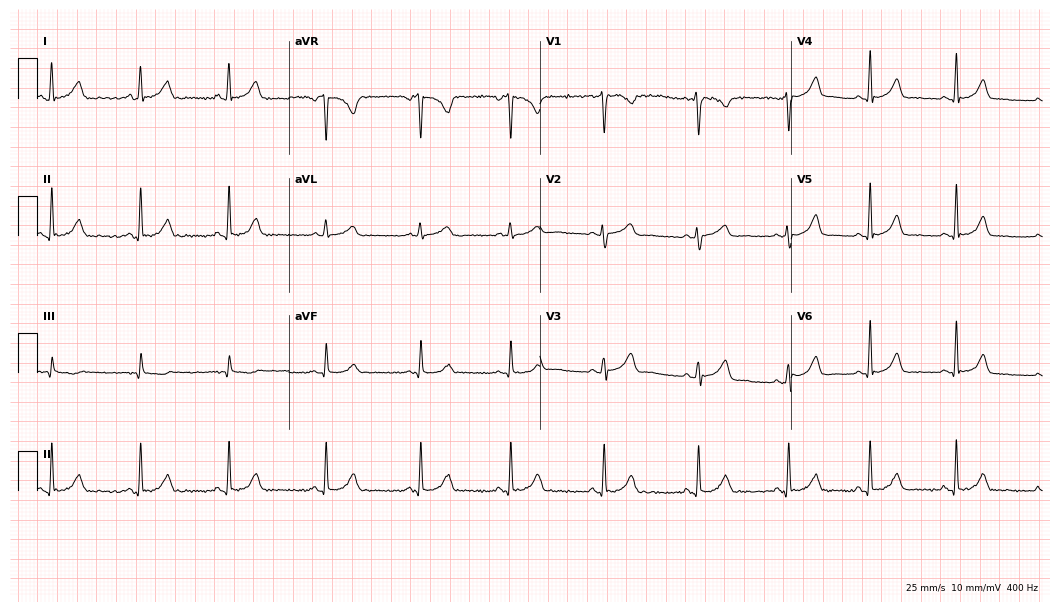
12-lead ECG from a female, 35 years old. Labelled as a normal ECG.